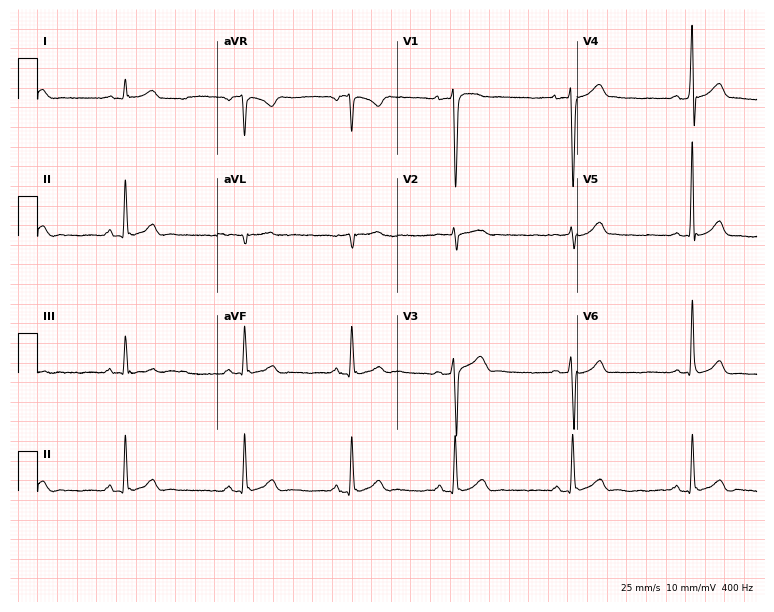
12-lead ECG from a 26-year-old man. No first-degree AV block, right bundle branch block (RBBB), left bundle branch block (LBBB), sinus bradycardia, atrial fibrillation (AF) or sinus tachycardia recorded for this tracing. Only these six findings were labelled.